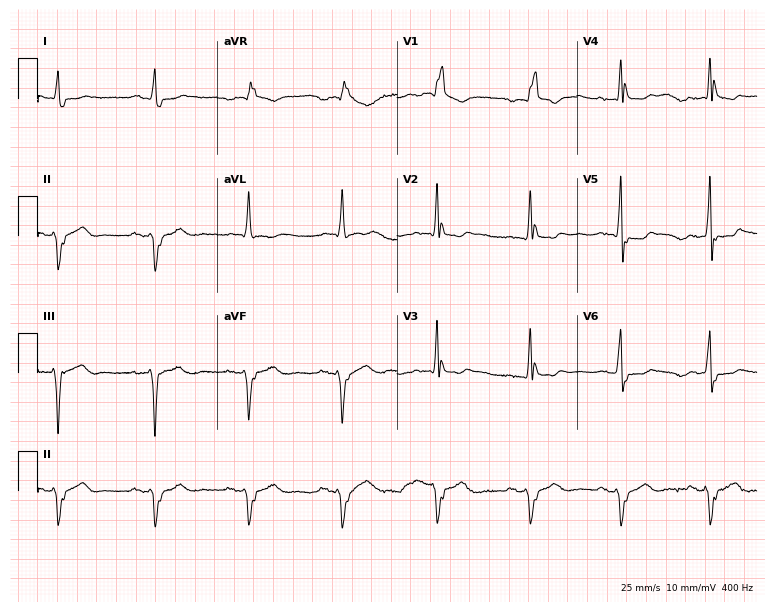
12-lead ECG (7.3-second recording at 400 Hz) from a man, 82 years old. Findings include right bundle branch block.